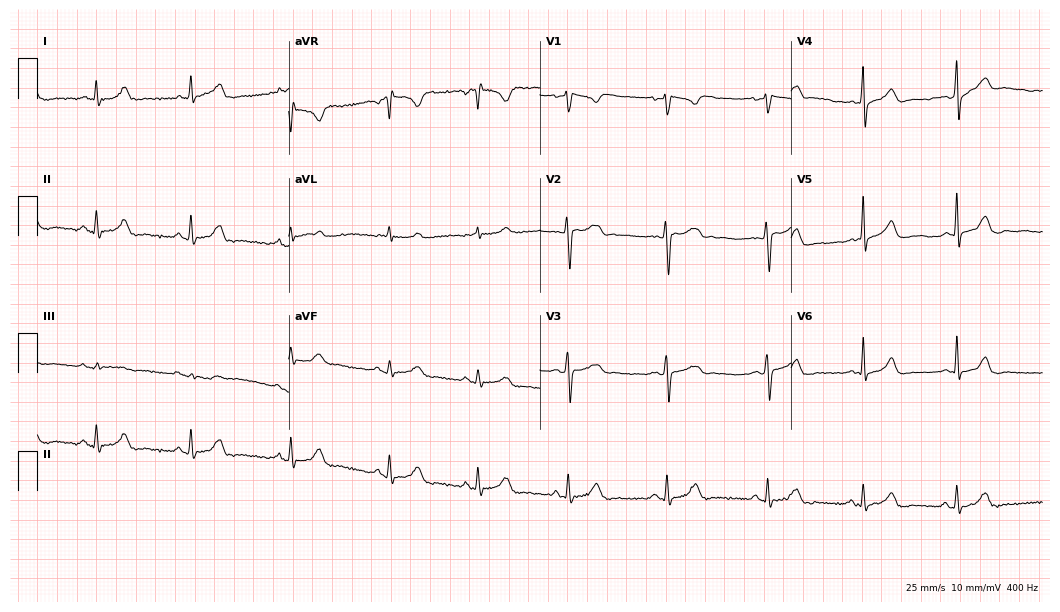
Standard 12-lead ECG recorded from a 28-year-old female (10.2-second recording at 400 Hz). Read as a normal ECG.